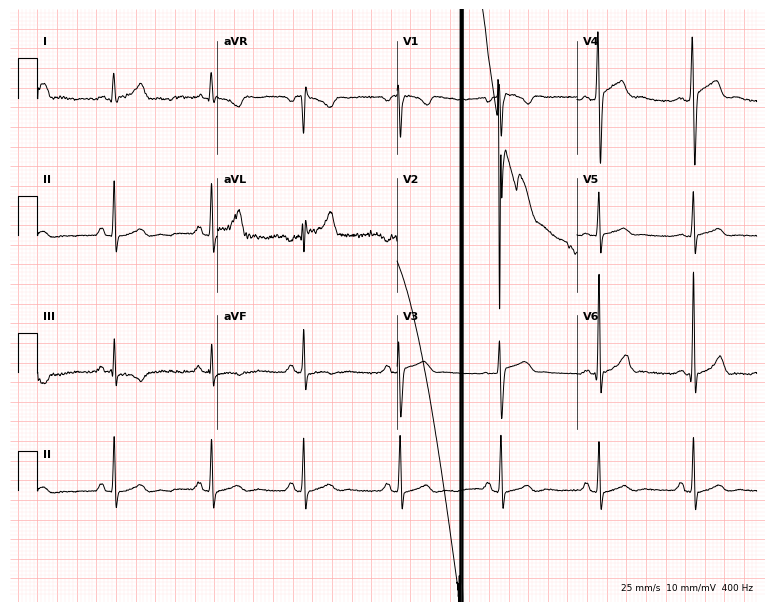
12-lead ECG from a 30-year-old male (7.3-second recording at 400 Hz). No first-degree AV block, right bundle branch block (RBBB), left bundle branch block (LBBB), sinus bradycardia, atrial fibrillation (AF) or sinus tachycardia recorded for this tracing. Only these six findings were labelled.